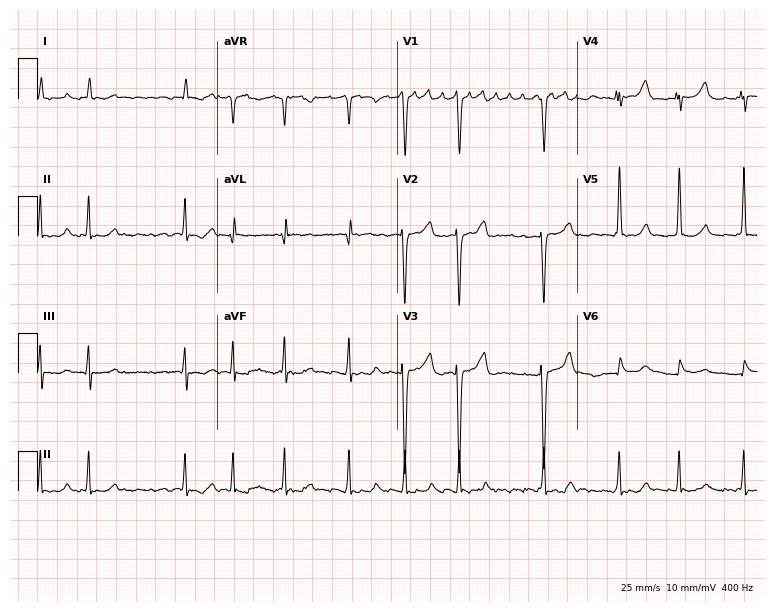
ECG (7.3-second recording at 400 Hz) — a female patient, 63 years old. Screened for six findings — first-degree AV block, right bundle branch block (RBBB), left bundle branch block (LBBB), sinus bradycardia, atrial fibrillation (AF), sinus tachycardia — none is recorded.